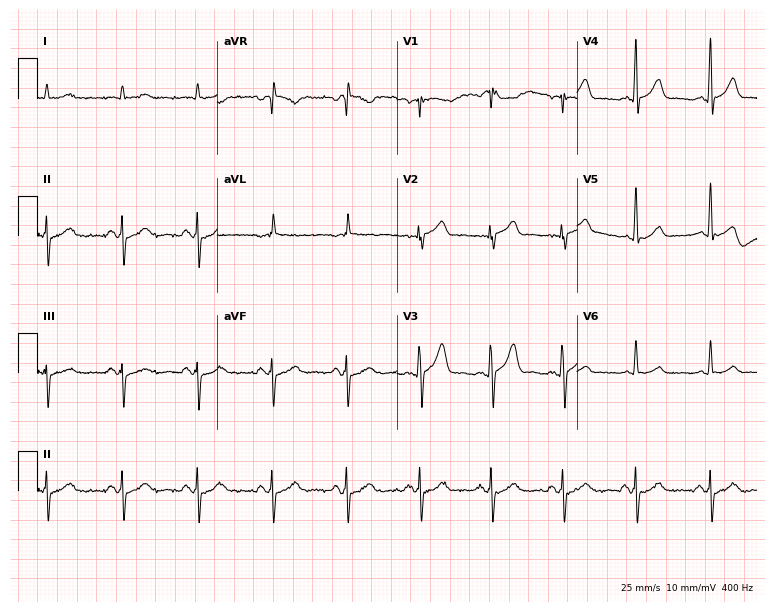
ECG (7.3-second recording at 400 Hz) — a male patient, 64 years old. Screened for six findings — first-degree AV block, right bundle branch block (RBBB), left bundle branch block (LBBB), sinus bradycardia, atrial fibrillation (AF), sinus tachycardia — none is recorded. Findings outside these six are not listed.